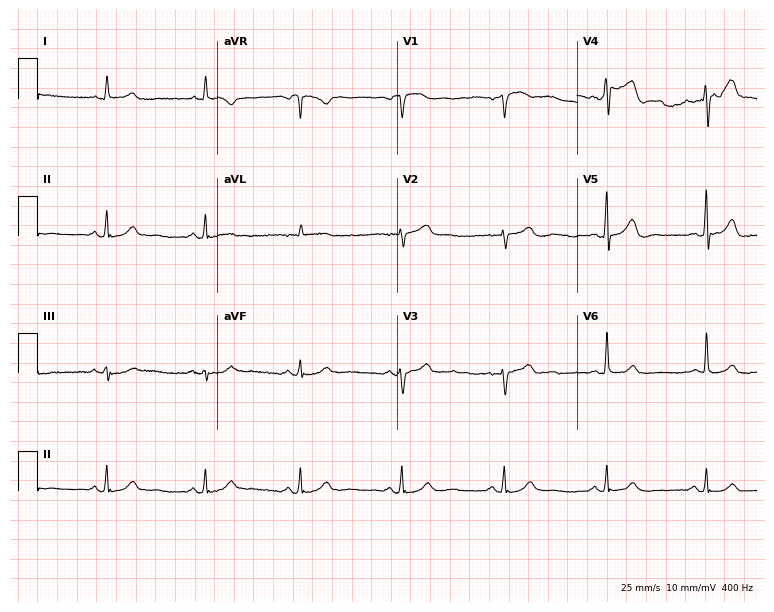
12-lead ECG from an 84-year-old male patient. Labelled as a normal ECG.